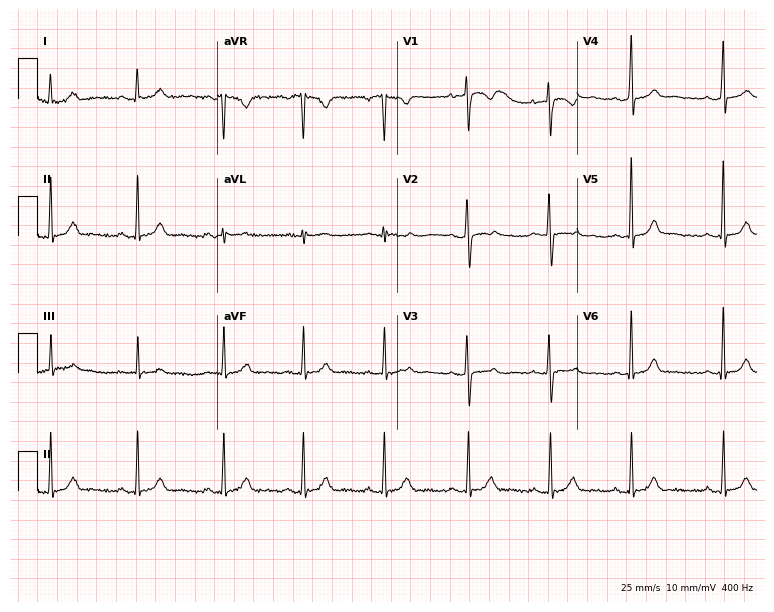
12-lead ECG (7.3-second recording at 400 Hz) from a female, 23 years old. Screened for six findings — first-degree AV block, right bundle branch block, left bundle branch block, sinus bradycardia, atrial fibrillation, sinus tachycardia — none is recorded. Findings outside these six are not listed.